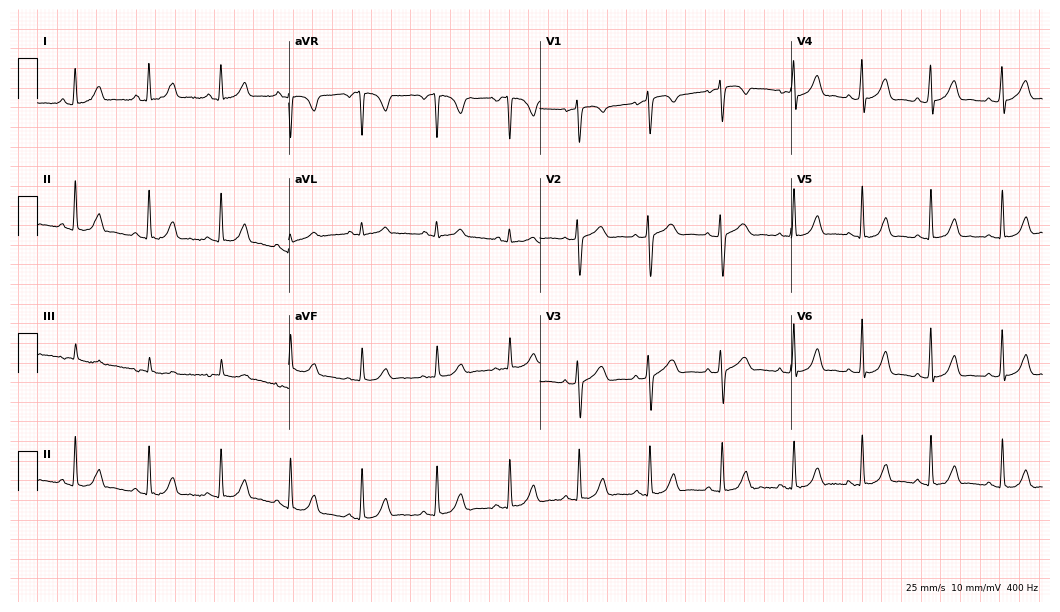
12-lead ECG (10.2-second recording at 400 Hz) from a woman, 19 years old. Labelled as a normal ECG.